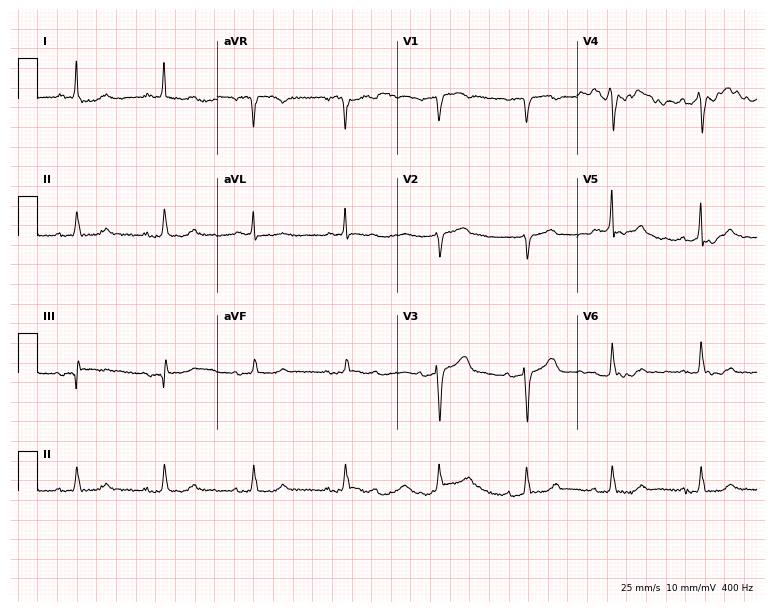
Standard 12-lead ECG recorded from a female patient, 72 years old. Read as a normal ECG.